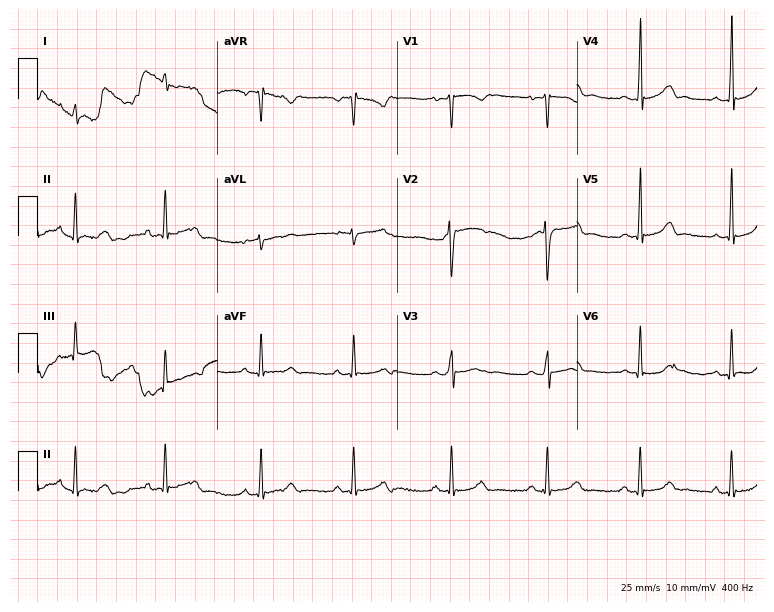
12-lead ECG (7.3-second recording at 400 Hz) from a female, 17 years old. Screened for six findings — first-degree AV block, right bundle branch block (RBBB), left bundle branch block (LBBB), sinus bradycardia, atrial fibrillation (AF), sinus tachycardia — none is recorded. Only these six findings were labelled.